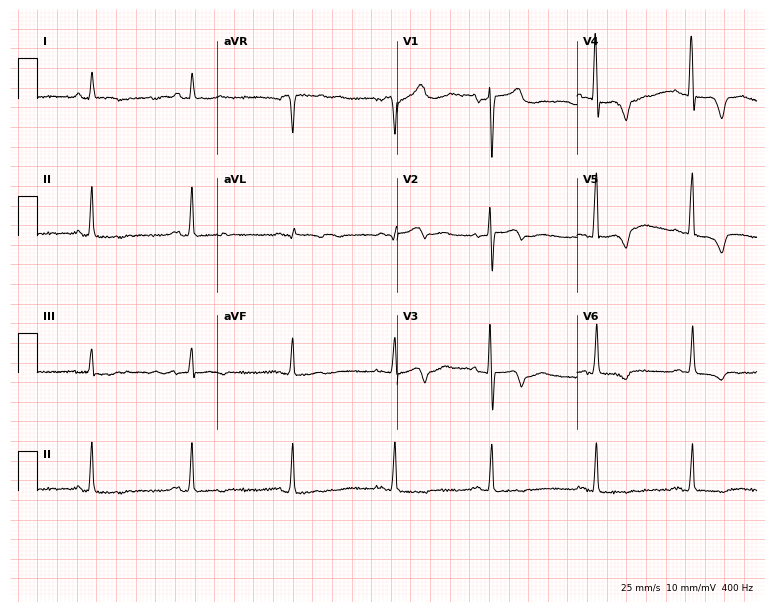
Electrocardiogram, a male patient, 79 years old. Of the six screened findings (first-degree AV block, right bundle branch block (RBBB), left bundle branch block (LBBB), sinus bradycardia, atrial fibrillation (AF), sinus tachycardia), none is recorded. Other findings, if any, are not listed.